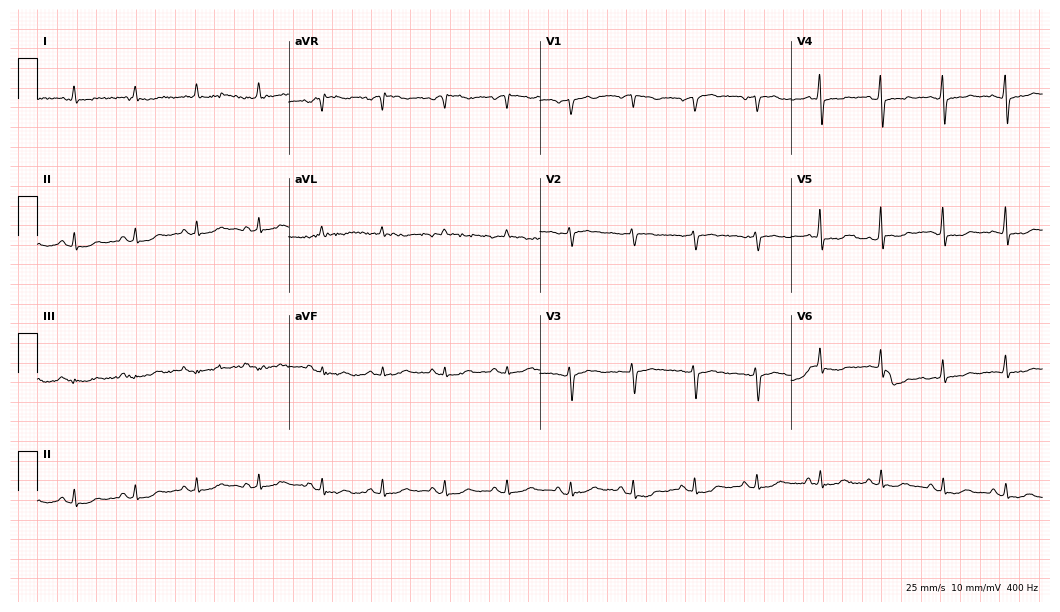
12-lead ECG from a female patient, 83 years old (10.2-second recording at 400 Hz). No first-degree AV block, right bundle branch block, left bundle branch block, sinus bradycardia, atrial fibrillation or sinus tachycardia recorded for this tracing. Findings outside these six are not listed.